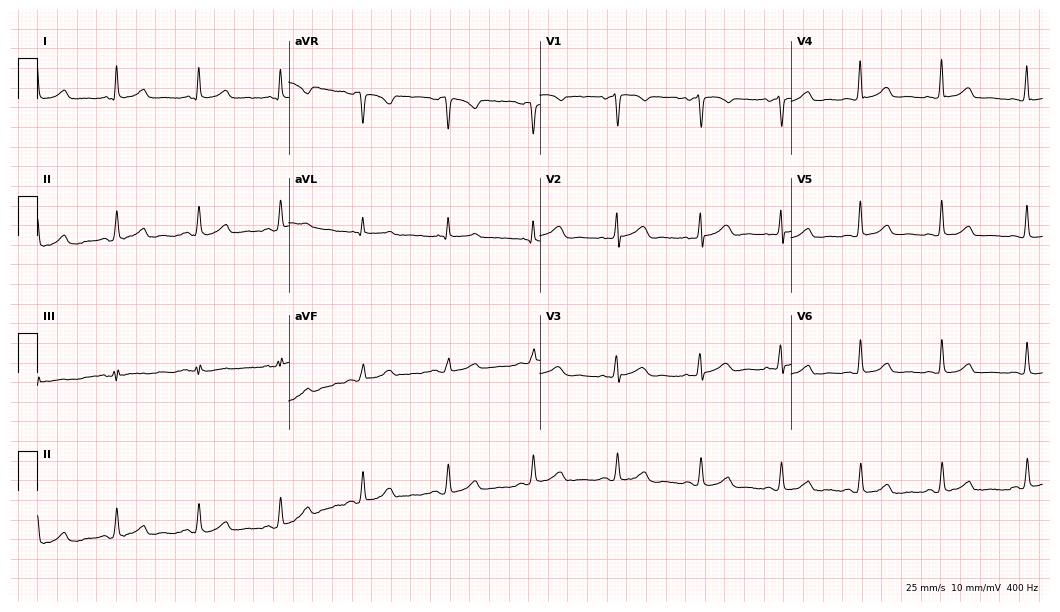
Standard 12-lead ECG recorded from a female patient, 53 years old (10.2-second recording at 400 Hz). Read as a normal ECG.